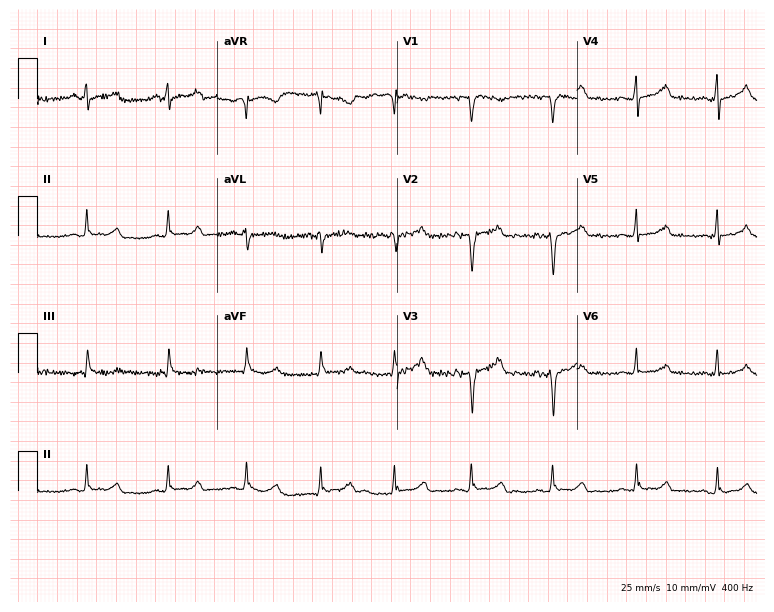
Resting 12-lead electrocardiogram. Patient: a 44-year-old female. None of these six findings is recorded: first-degree AV block, right bundle branch block, left bundle branch block, sinus bradycardia, atrial fibrillation, sinus tachycardia. Only these six findings were labelled.